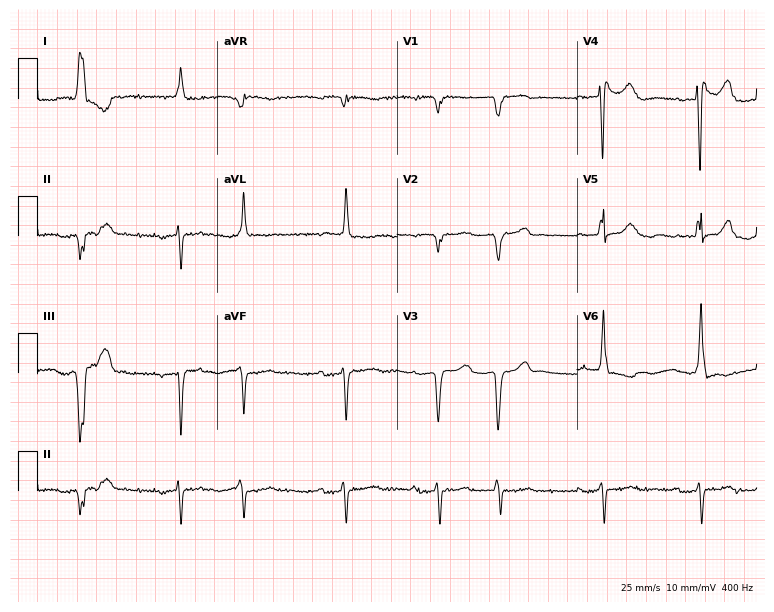
12-lead ECG from a female, 80 years old. Findings include first-degree AV block.